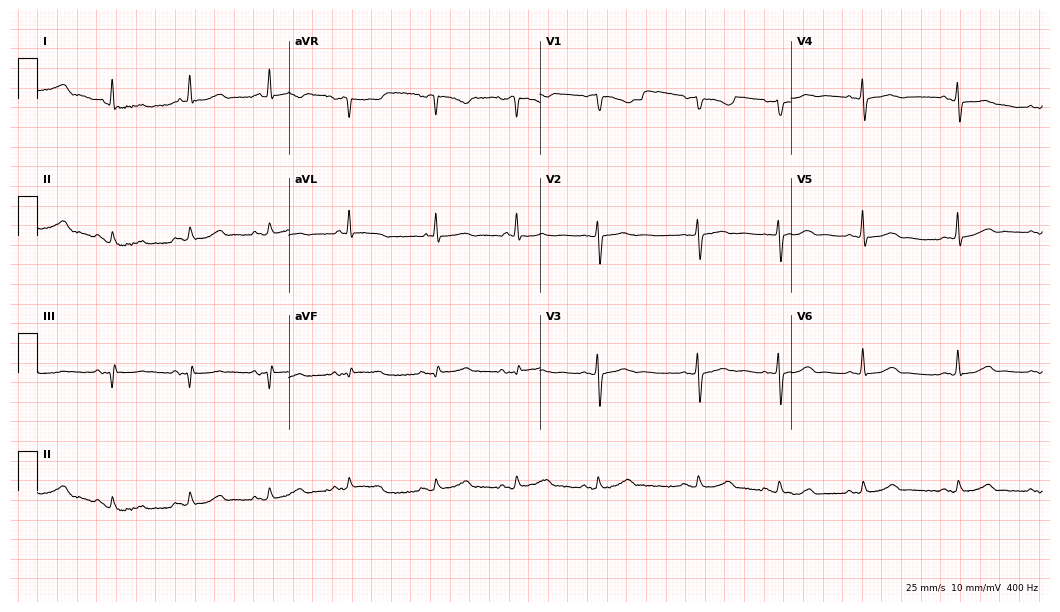
Resting 12-lead electrocardiogram. Patient: an 84-year-old female. Read as a normal ECG.